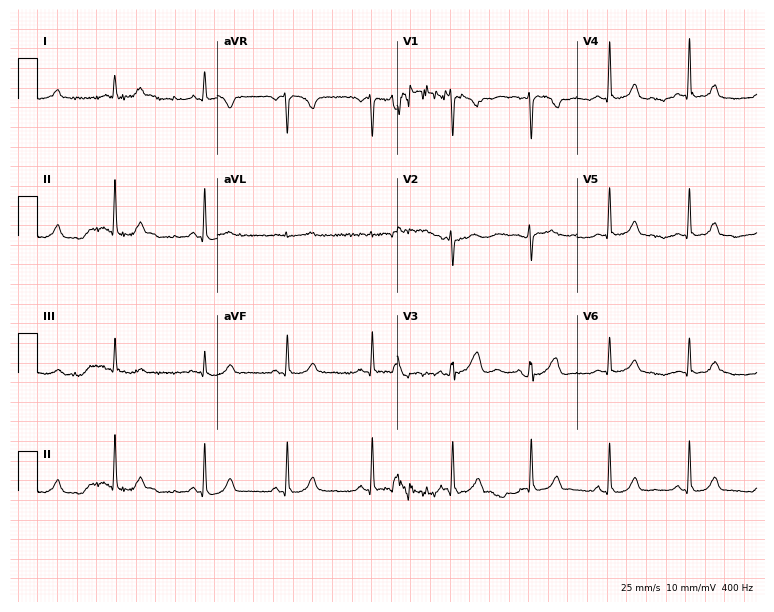
Standard 12-lead ECG recorded from a 23-year-old female patient (7.3-second recording at 400 Hz). Read as a normal ECG.